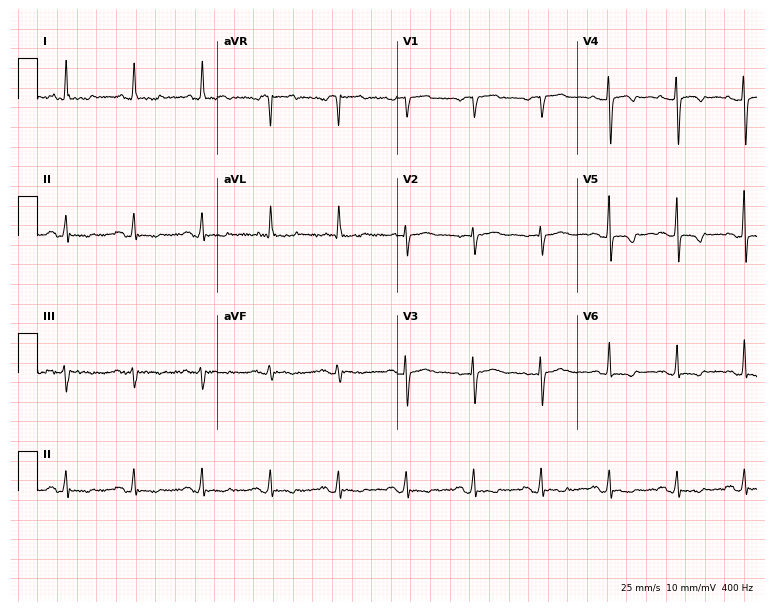
Resting 12-lead electrocardiogram (7.3-second recording at 400 Hz). Patient: a female, 81 years old. None of these six findings is recorded: first-degree AV block, right bundle branch block (RBBB), left bundle branch block (LBBB), sinus bradycardia, atrial fibrillation (AF), sinus tachycardia.